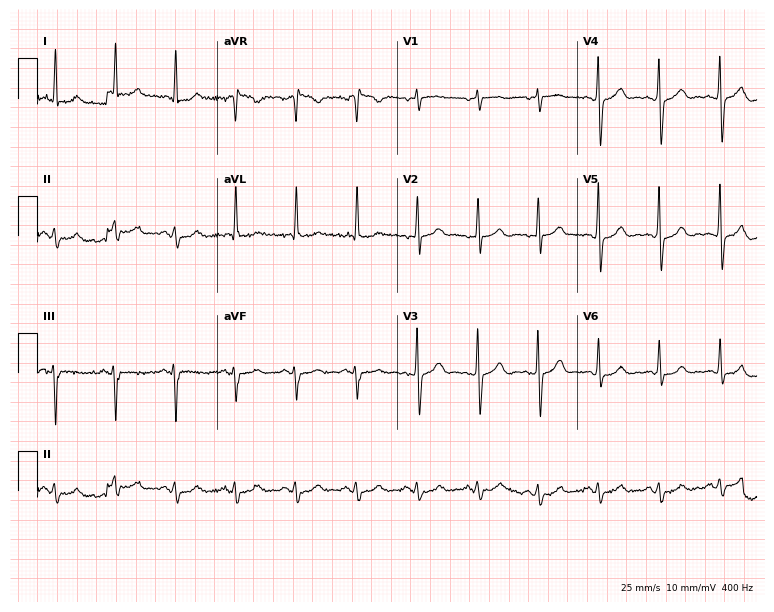
12-lead ECG from a 75-year-old male patient (7.3-second recording at 400 Hz). No first-degree AV block, right bundle branch block, left bundle branch block, sinus bradycardia, atrial fibrillation or sinus tachycardia recorded for this tracing.